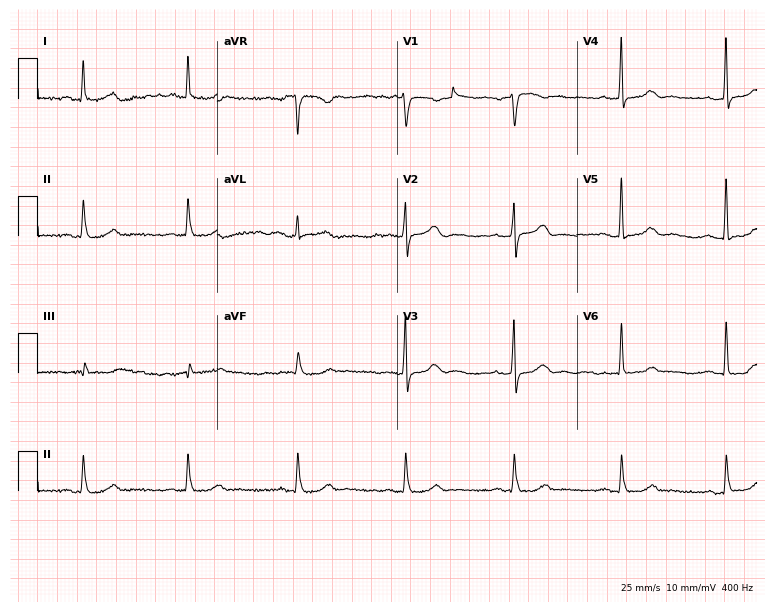
12-lead ECG from a 76-year-old male patient. Recorded interpretation: within normal limits.